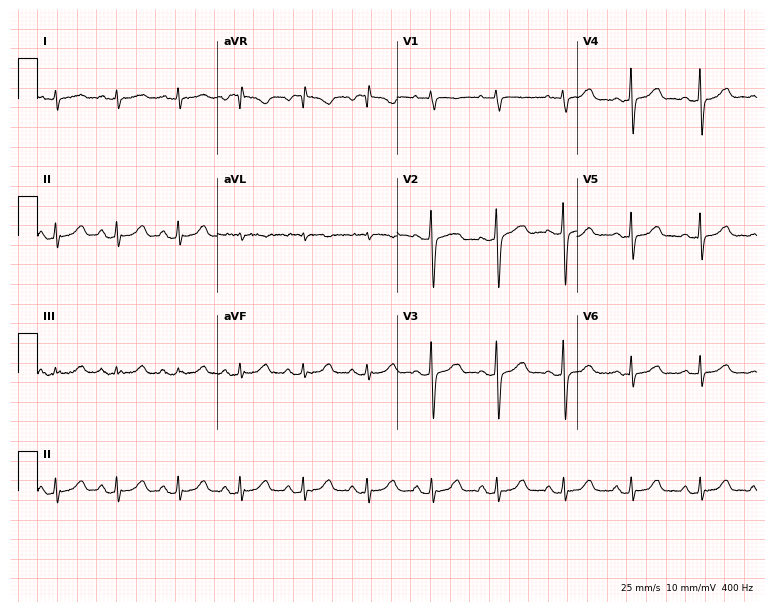
Resting 12-lead electrocardiogram (7.3-second recording at 400 Hz). Patient: a 51-year-old female. Read as a normal ECG.